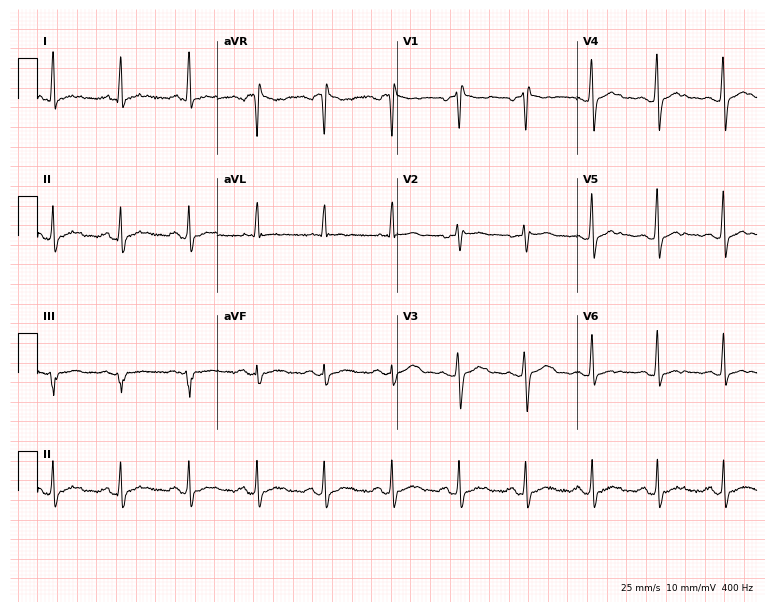
Resting 12-lead electrocardiogram. Patient: a female, 37 years old. Read as a normal ECG.